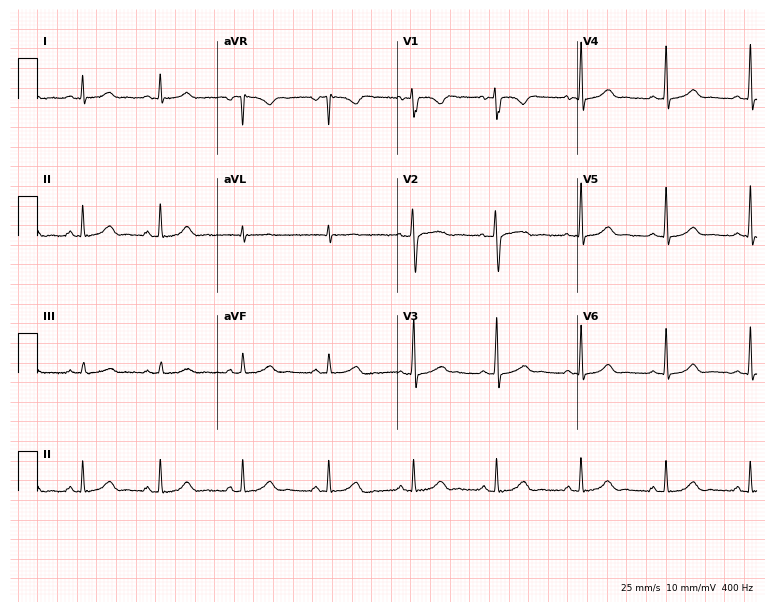
Standard 12-lead ECG recorded from a 34-year-old female. Read as a normal ECG.